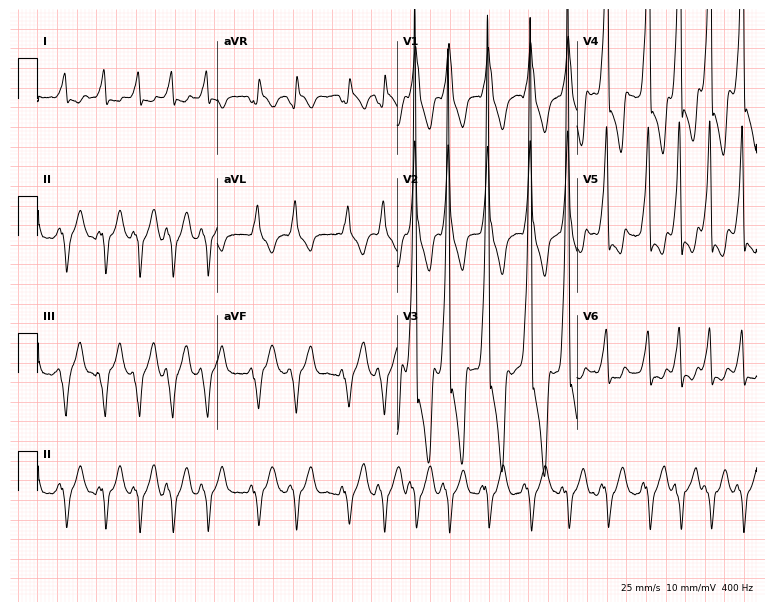
ECG — a man, 70 years old. Findings include right bundle branch block (RBBB), atrial fibrillation (AF).